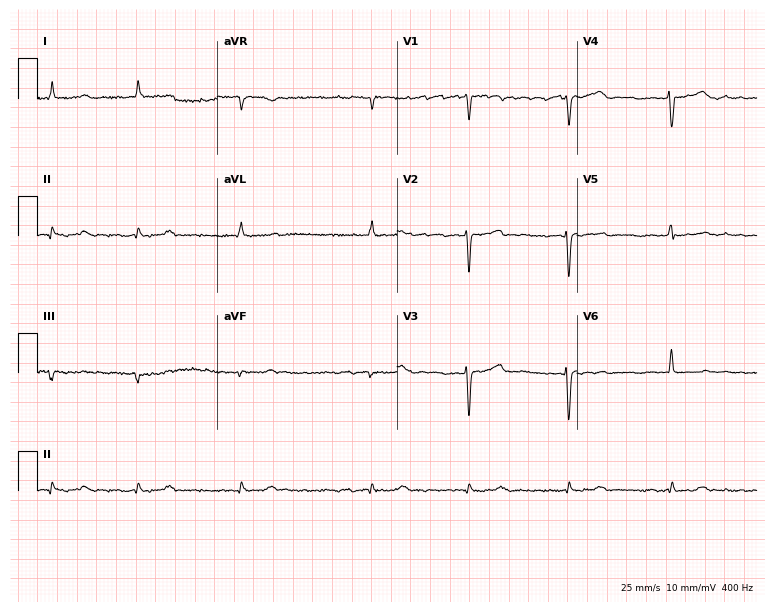
Standard 12-lead ECG recorded from a 64-year-old female patient (7.3-second recording at 400 Hz). The tracing shows atrial fibrillation.